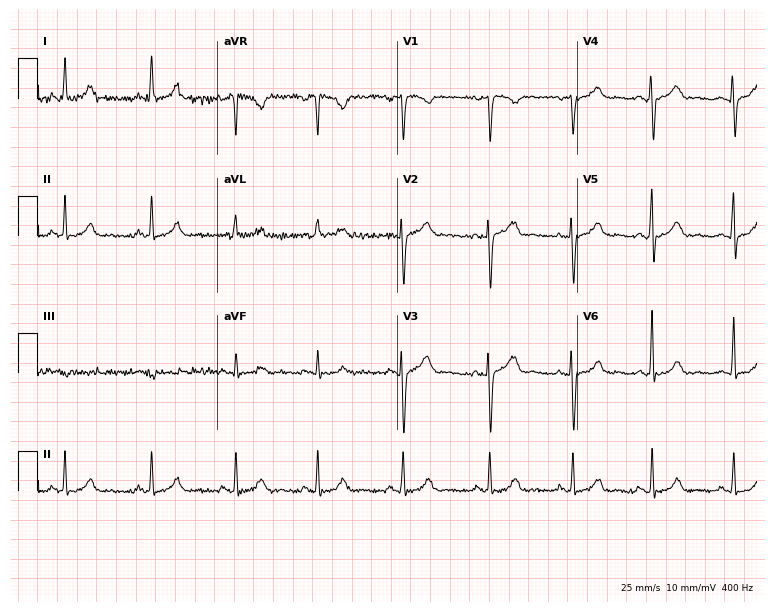
Resting 12-lead electrocardiogram (7.3-second recording at 400 Hz). Patient: a 45-year-old female. None of these six findings is recorded: first-degree AV block, right bundle branch block, left bundle branch block, sinus bradycardia, atrial fibrillation, sinus tachycardia.